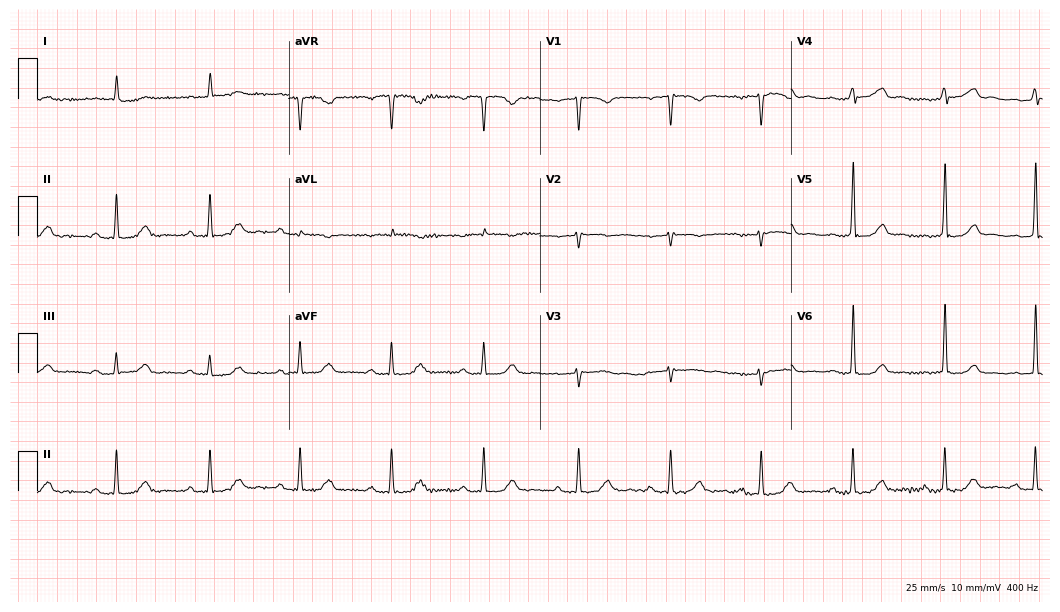
12-lead ECG from a 44-year-old female. Screened for six findings — first-degree AV block, right bundle branch block (RBBB), left bundle branch block (LBBB), sinus bradycardia, atrial fibrillation (AF), sinus tachycardia — none is recorded.